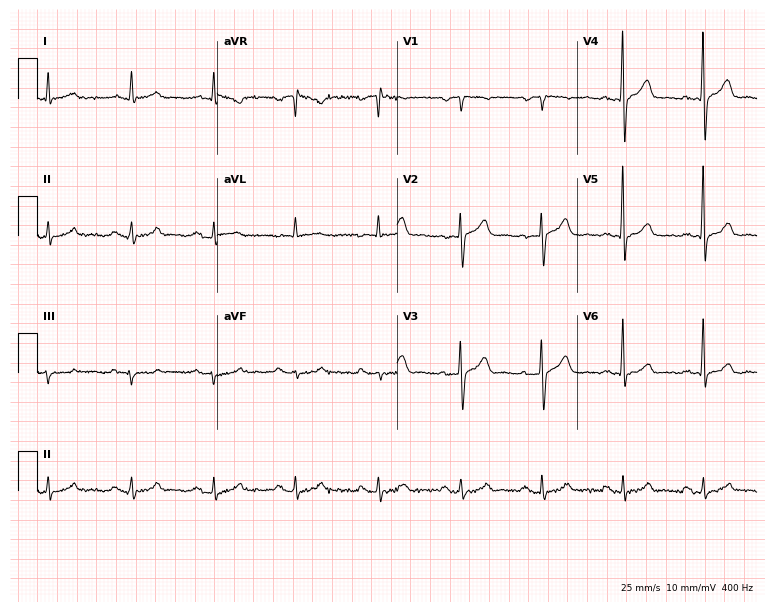
Resting 12-lead electrocardiogram (7.3-second recording at 400 Hz). Patient: a man, 54 years old. None of these six findings is recorded: first-degree AV block, right bundle branch block, left bundle branch block, sinus bradycardia, atrial fibrillation, sinus tachycardia. Other findings, if any, are not listed.